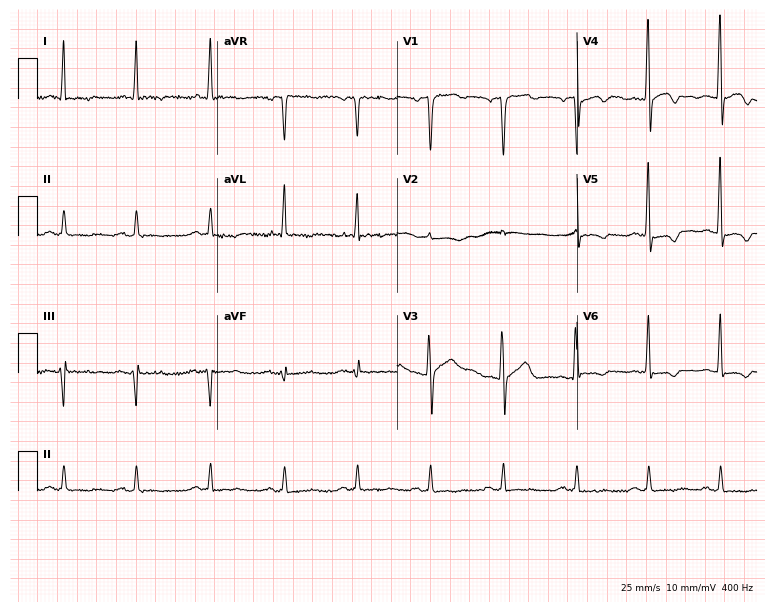
12-lead ECG (7.3-second recording at 400 Hz) from a 60-year-old man. Screened for six findings — first-degree AV block, right bundle branch block, left bundle branch block, sinus bradycardia, atrial fibrillation, sinus tachycardia — none is recorded.